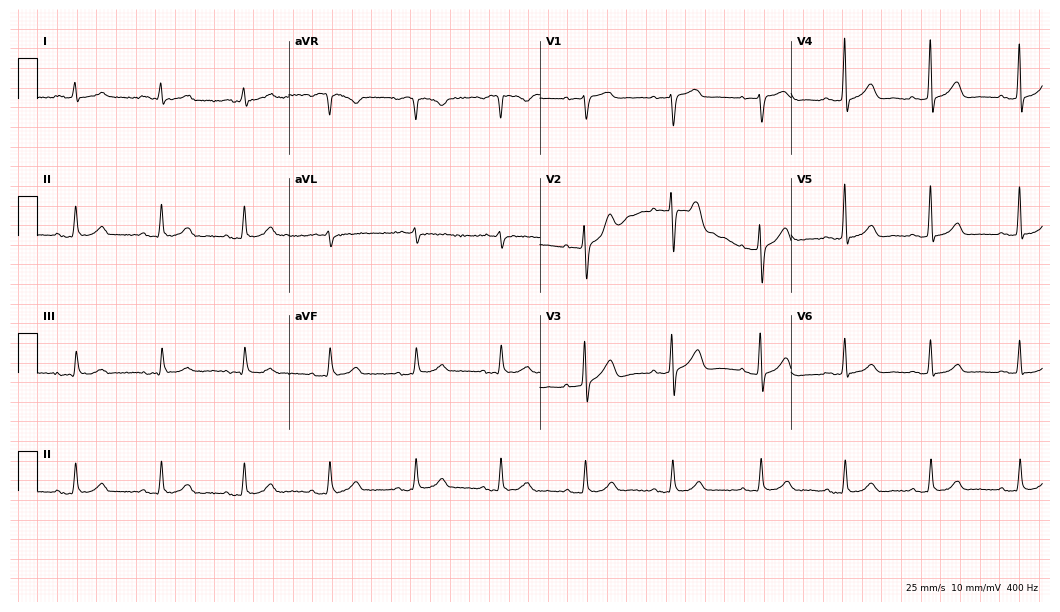
12-lead ECG from a man, 83 years old (10.2-second recording at 400 Hz). Recorded interpretation: within normal limits.